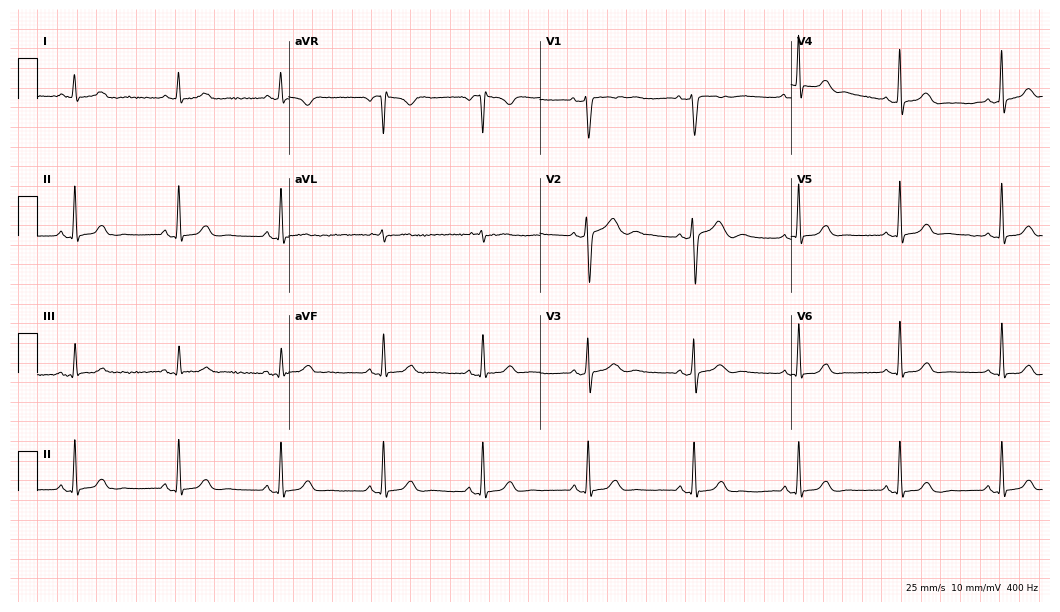
ECG — a female, 44 years old. Labelled as a normal ECG.